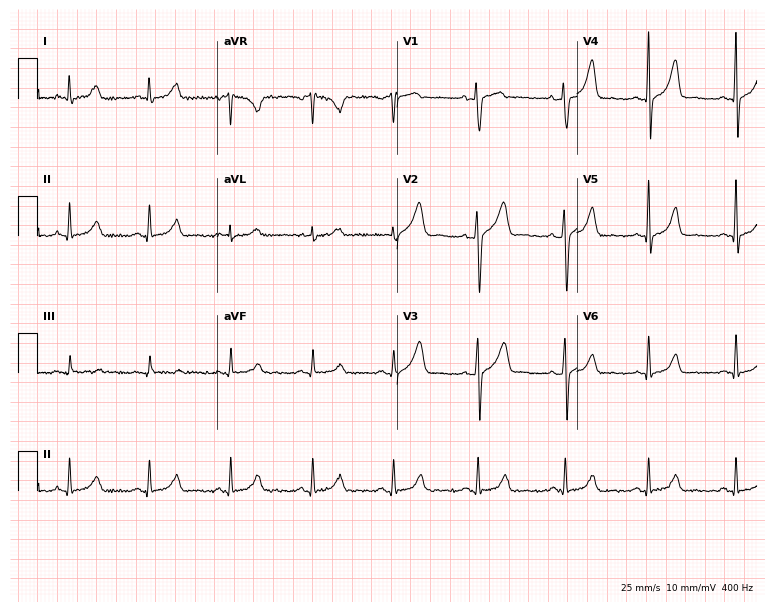
Standard 12-lead ECG recorded from a female patient, 30 years old. None of these six findings is recorded: first-degree AV block, right bundle branch block, left bundle branch block, sinus bradycardia, atrial fibrillation, sinus tachycardia.